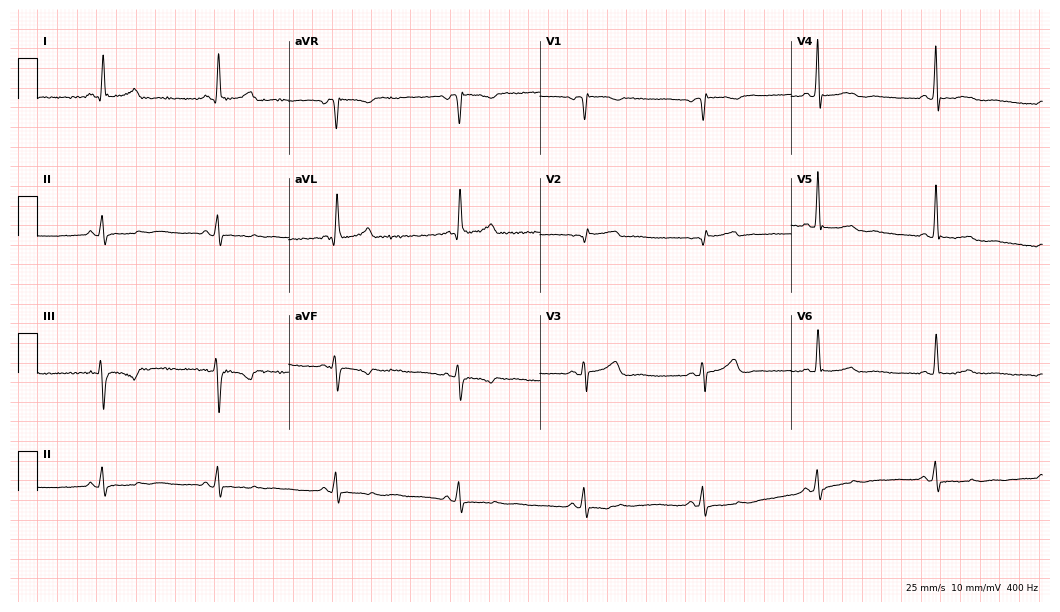
Standard 12-lead ECG recorded from a 55-year-old female patient (10.2-second recording at 400 Hz). Read as a normal ECG.